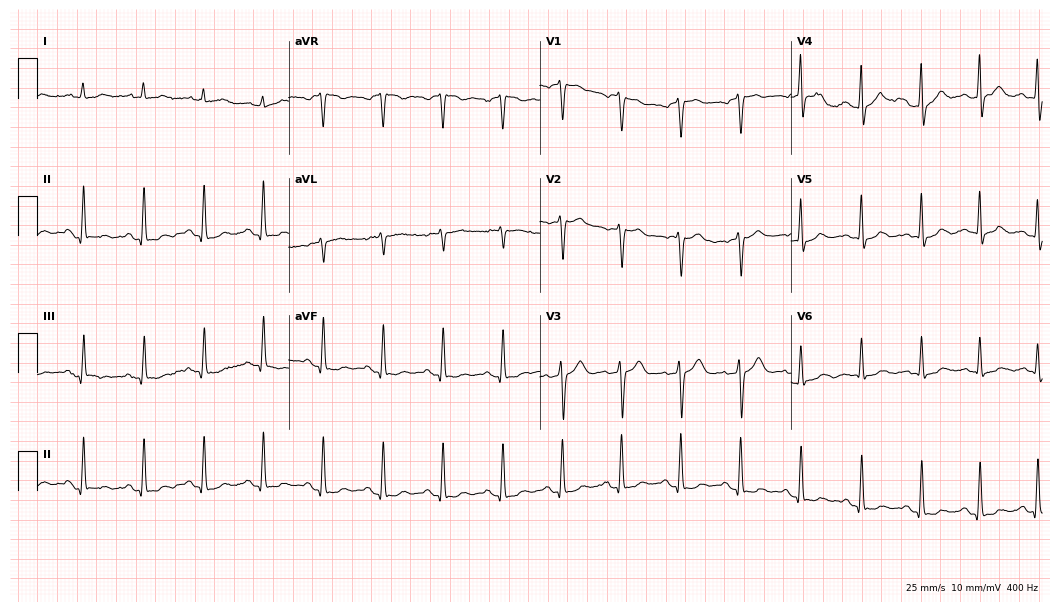
12-lead ECG from a 69-year-old male. Screened for six findings — first-degree AV block, right bundle branch block (RBBB), left bundle branch block (LBBB), sinus bradycardia, atrial fibrillation (AF), sinus tachycardia — none is recorded. Only these six findings were labelled.